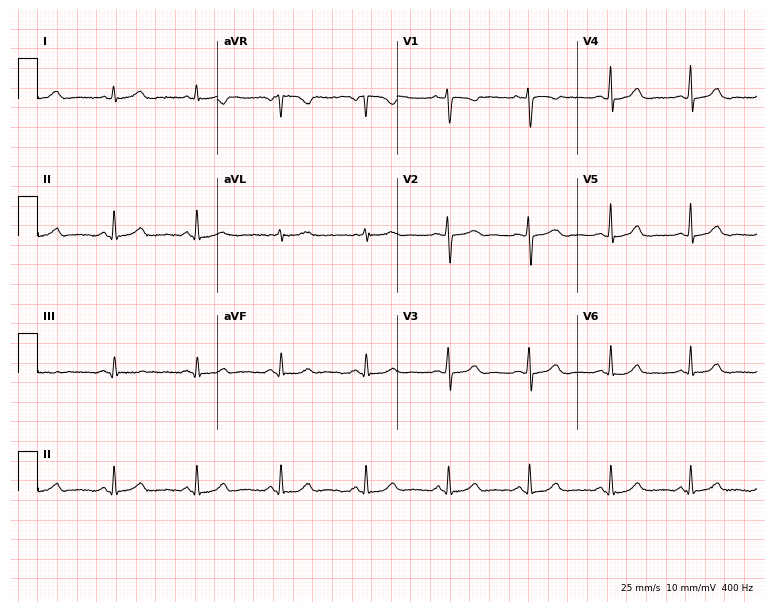
12-lead ECG from a woman, 36 years old. Recorded interpretation: within normal limits.